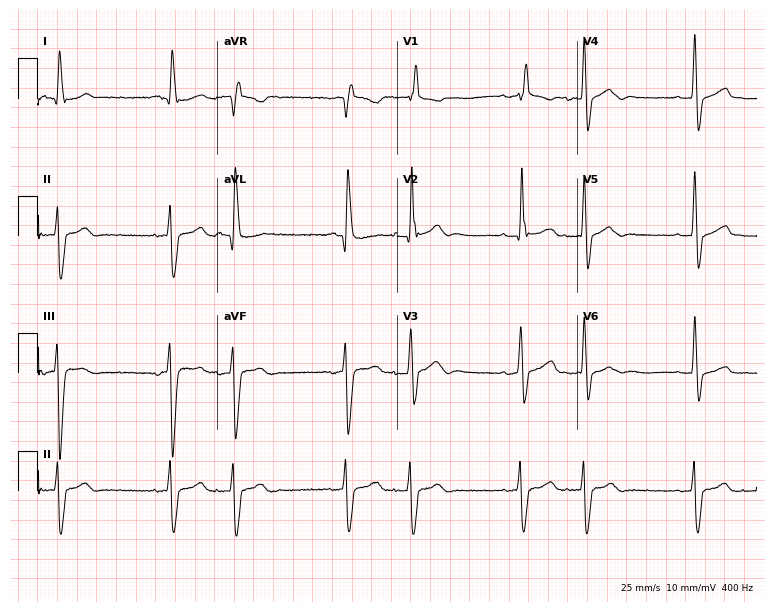
ECG — an 82-year-old man. Screened for six findings — first-degree AV block, right bundle branch block, left bundle branch block, sinus bradycardia, atrial fibrillation, sinus tachycardia — none is recorded.